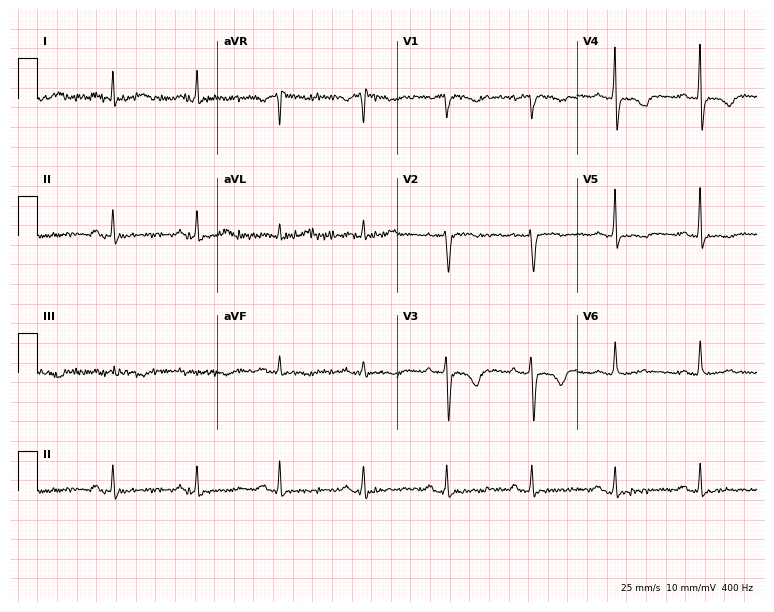
Resting 12-lead electrocardiogram. Patient: a woman, 47 years old. None of these six findings is recorded: first-degree AV block, right bundle branch block, left bundle branch block, sinus bradycardia, atrial fibrillation, sinus tachycardia. Other findings, if any, are not listed.